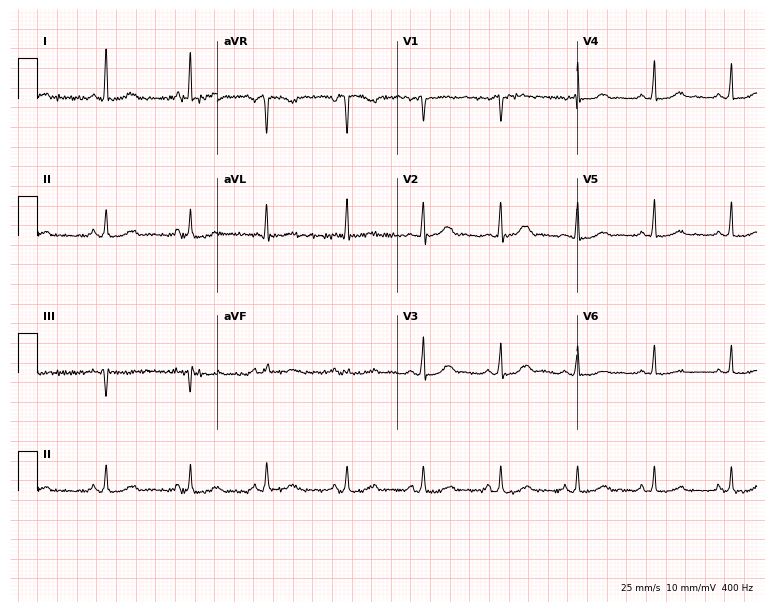
Electrocardiogram, a 47-year-old female. Overall reading on record: normal ECG.